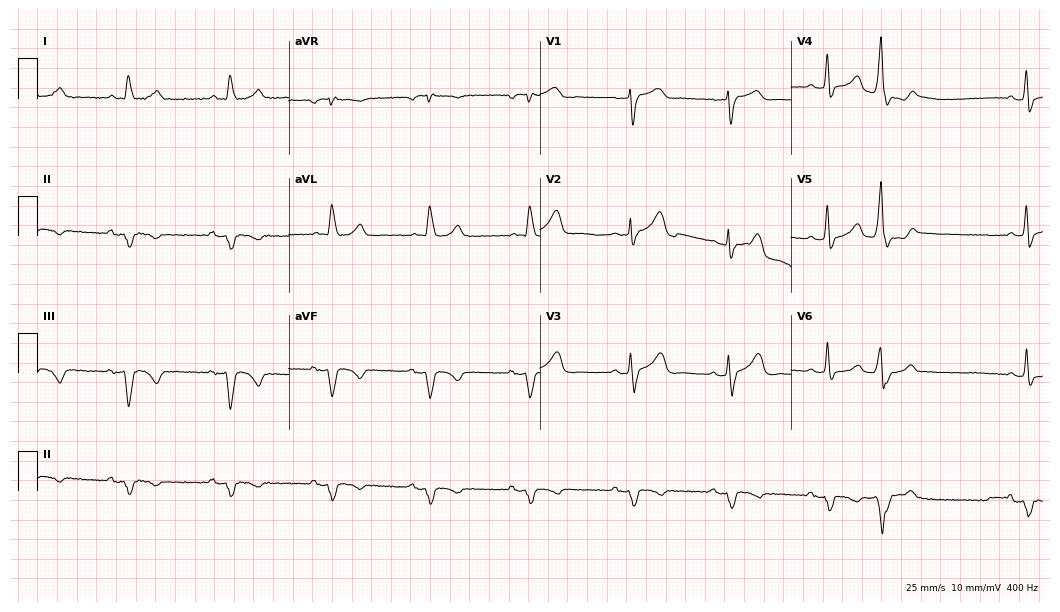
ECG — a male patient, 75 years old. Screened for six findings — first-degree AV block, right bundle branch block, left bundle branch block, sinus bradycardia, atrial fibrillation, sinus tachycardia — none is recorded. Findings outside these six are not listed.